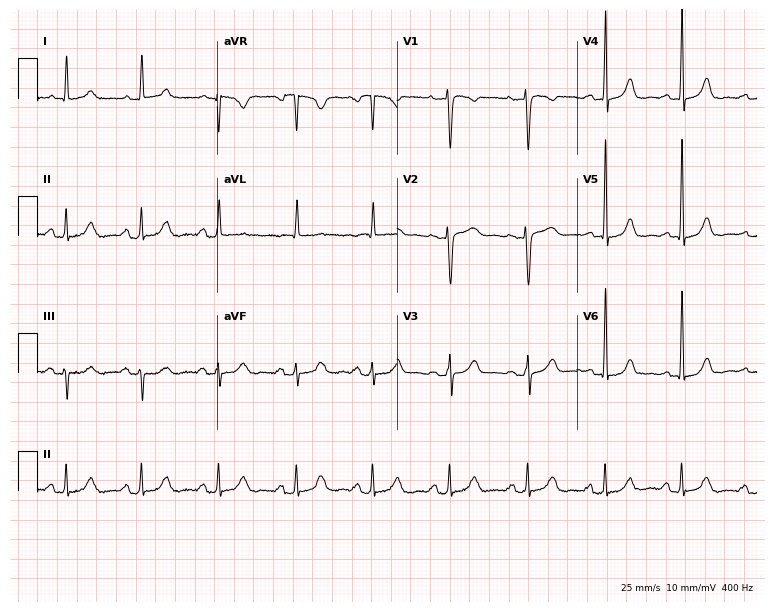
12-lead ECG from a 65-year-old female patient (7.3-second recording at 400 Hz). No first-degree AV block, right bundle branch block (RBBB), left bundle branch block (LBBB), sinus bradycardia, atrial fibrillation (AF) or sinus tachycardia recorded for this tracing. Other findings, if any, are not listed.